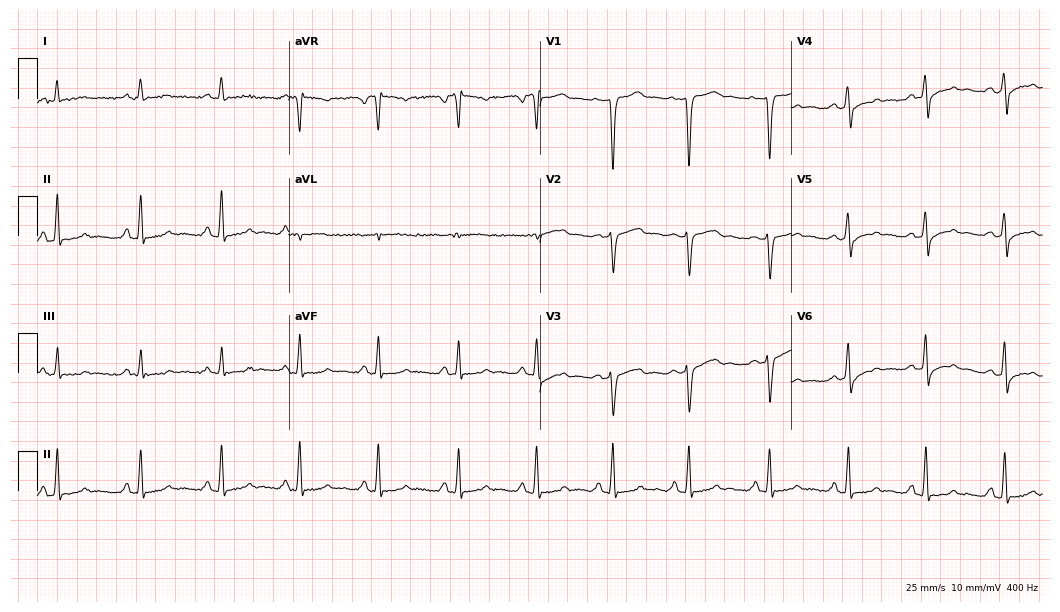
12-lead ECG from a man, 62 years old. Screened for six findings — first-degree AV block, right bundle branch block, left bundle branch block, sinus bradycardia, atrial fibrillation, sinus tachycardia — none is recorded. Only these six findings were labelled.